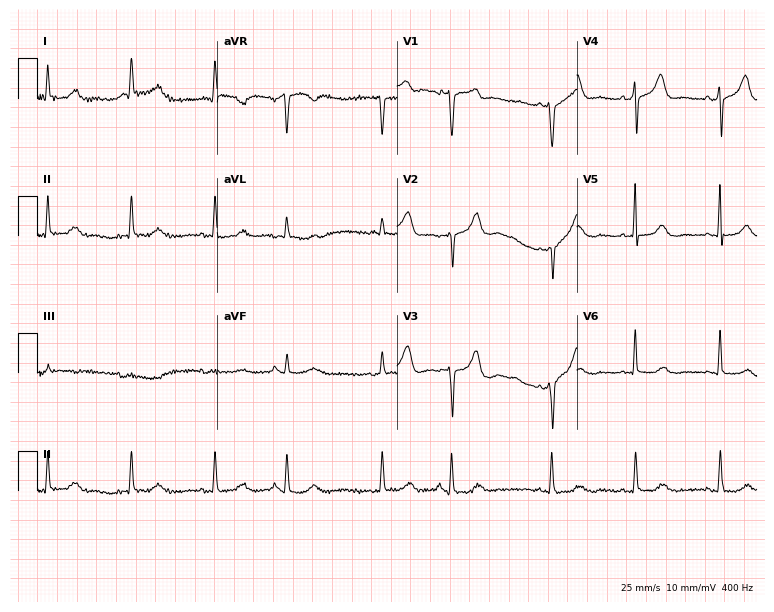
12-lead ECG from a female, 55 years old. No first-degree AV block, right bundle branch block (RBBB), left bundle branch block (LBBB), sinus bradycardia, atrial fibrillation (AF) or sinus tachycardia recorded for this tracing.